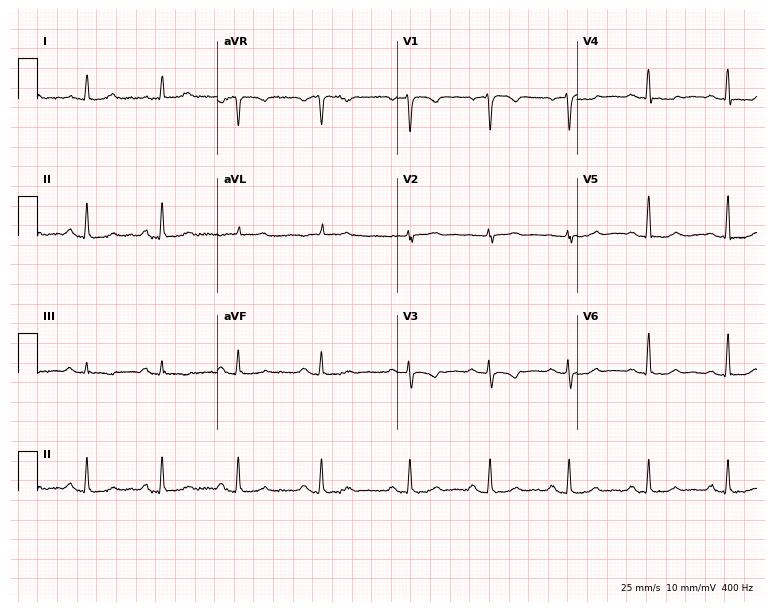
12-lead ECG from a female, 51 years old. Screened for six findings — first-degree AV block, right bundle branch block (RBBB), left bundle branch block (LBBB), sinus bradycardia, atrial fibrillation (AF), sinus tachycardia — none is recorded.